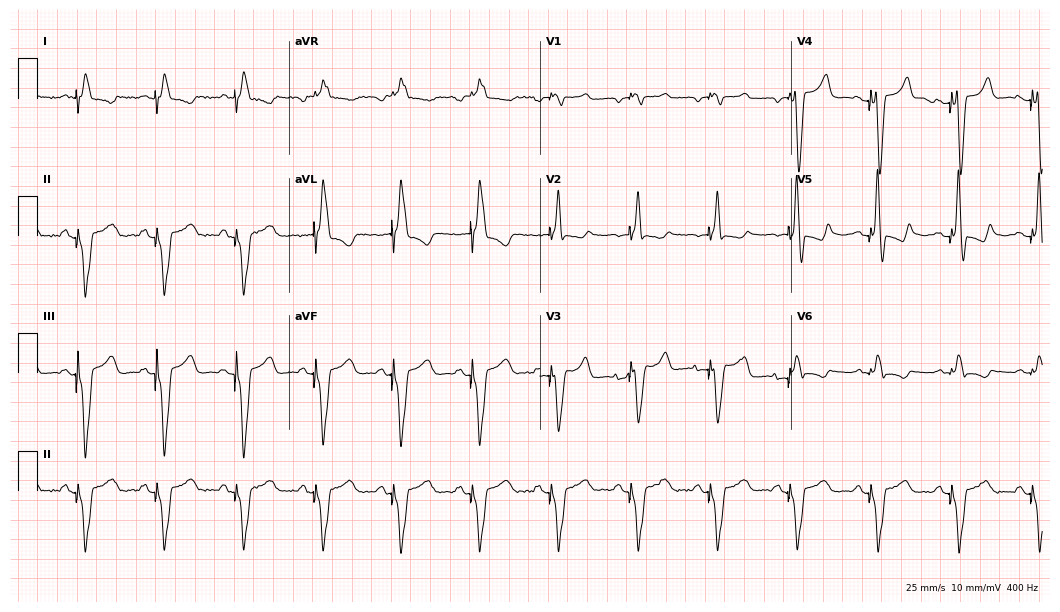
12-lead ECG (10.2-second recording at 400 Hz) from a 63-year-old female. Screened for six findings — first-degree AV block, right bundle branch block, left bundle branch block, sinus bradycardia, atrial fibrillation, sinus tachycardia — none is recorded.